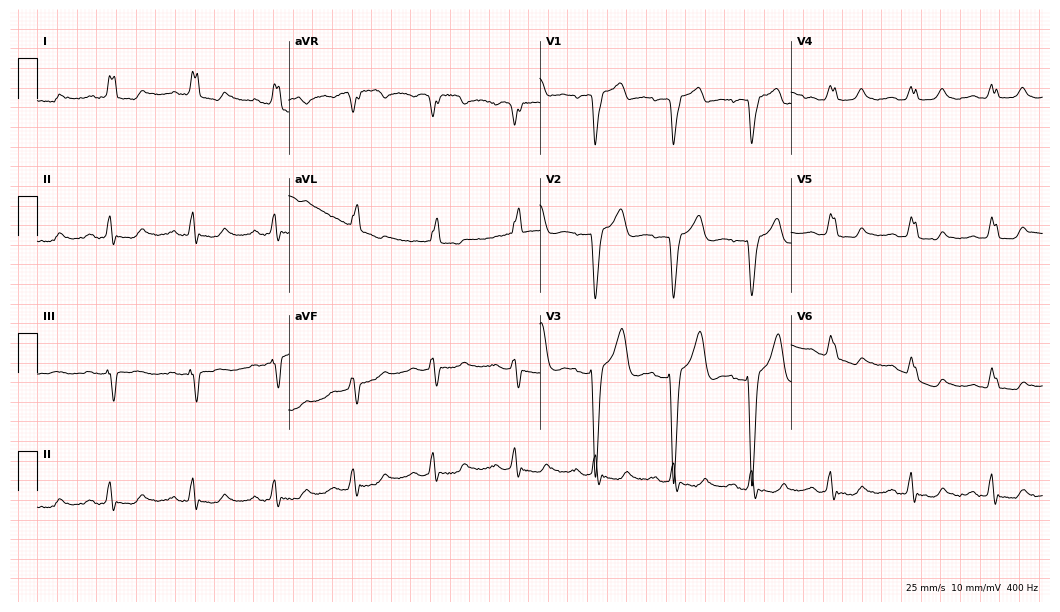
12-lead ECG from a 77-year-old woman (10.2-second recording at 400 Hz). Shows left bundle branch block (LBBB).